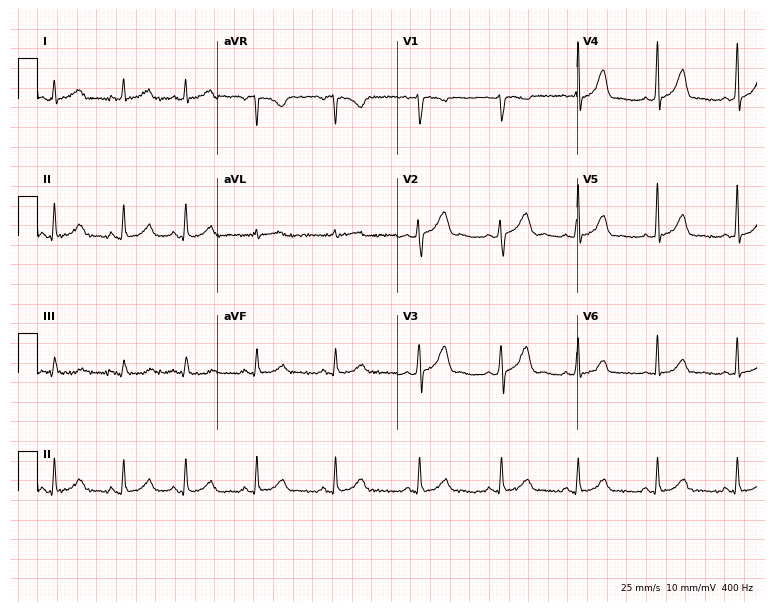
Electrocardiogram, a 30-year-old female. Overall reading on record: normal ECG.